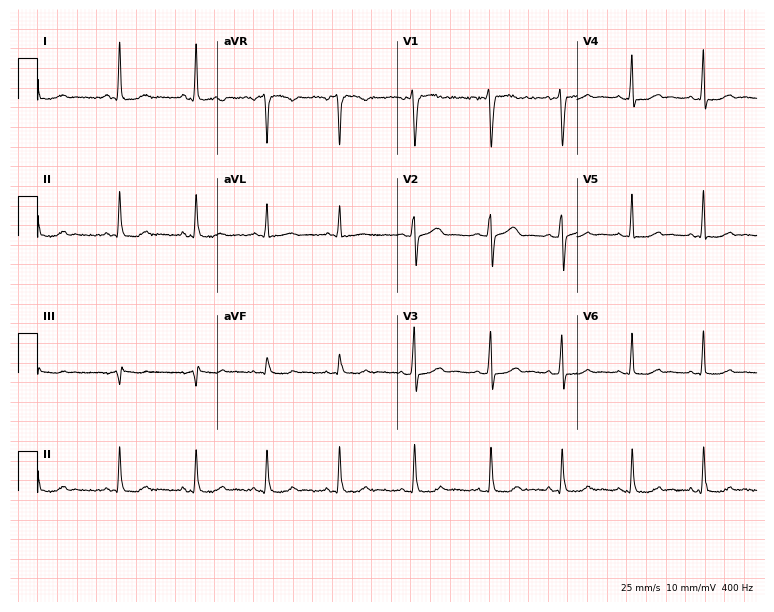
Resting 12-lead electrocardiogram. Patient: a female, 25 years old. Read as a normal ECG.